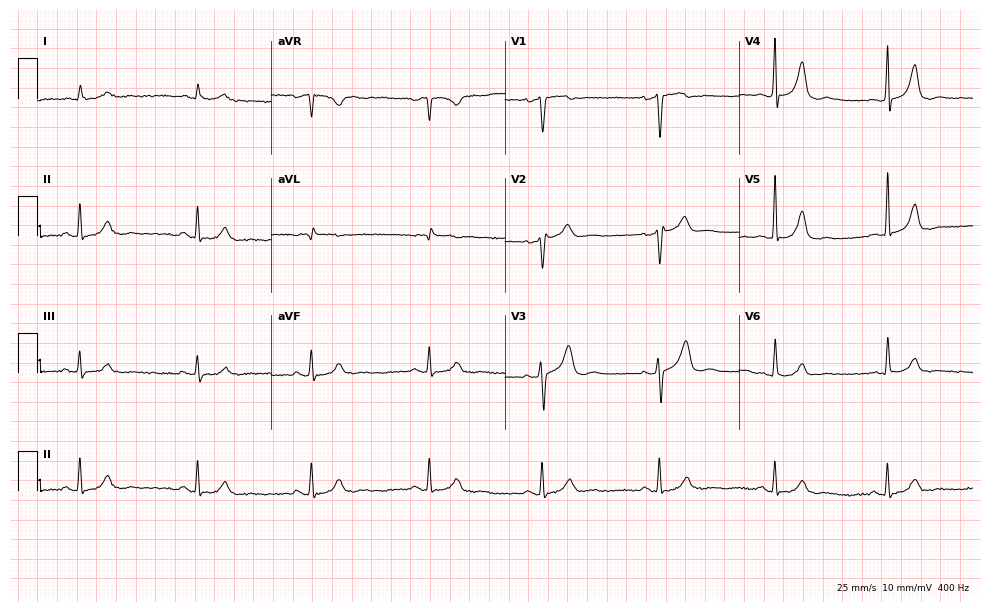
Standard 12-lead ECG recorded from a male, 72 years old (9.5-second recording at 400 Hz). None of these six findings is recorded: first-degree AV block, right bundle branch block, left bundle branch block, sinus bradycardia, atrial fibrillation, sinus tachycardia.